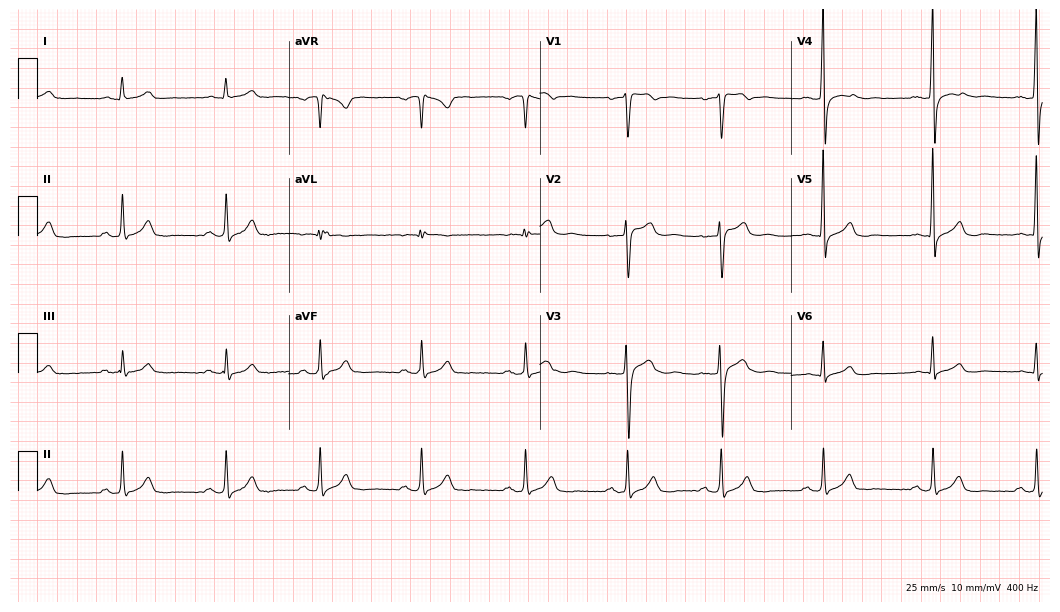
Standard 12-lead ECG recorded from a male patient, 31 years old. None of these six findings is recorded: first-degree AV block, right bundle branch block, left bundle branch block, sinus bradycardia, atrial fibrillation, sinus tachycardia. Findings outside these six are not listed.